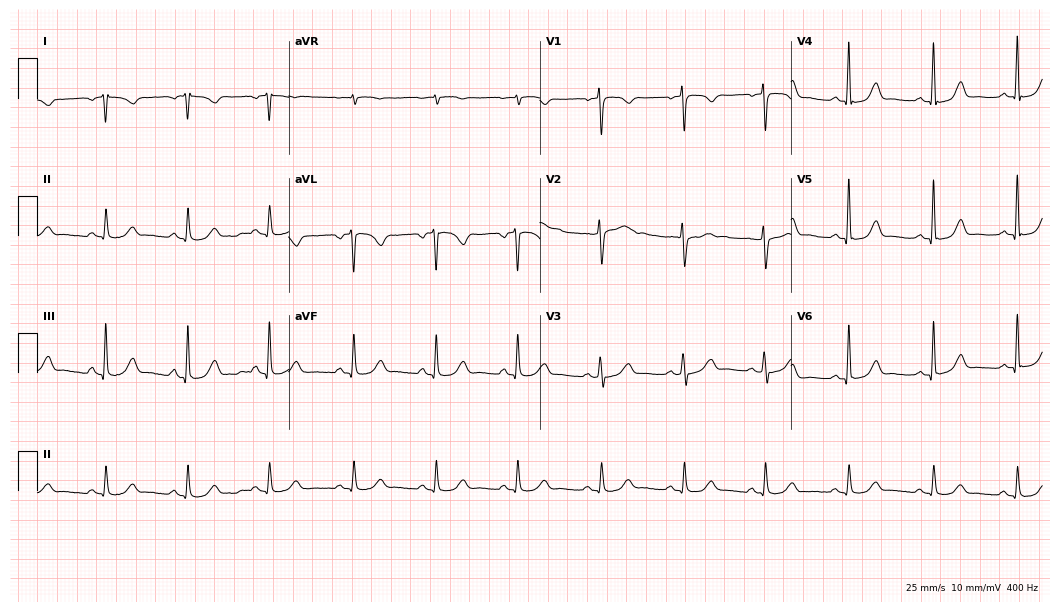
Standard 12-lead ECG recorded from a 59-year-old woman. None of these six findings is recorded: first-degree AV block, right bundle branch block (RBBB), left bundle branch block (LBBB), sinus bradycardia, atrial fibrillation (AF), sinus tachycardia. Other findings, if any, are not listed.